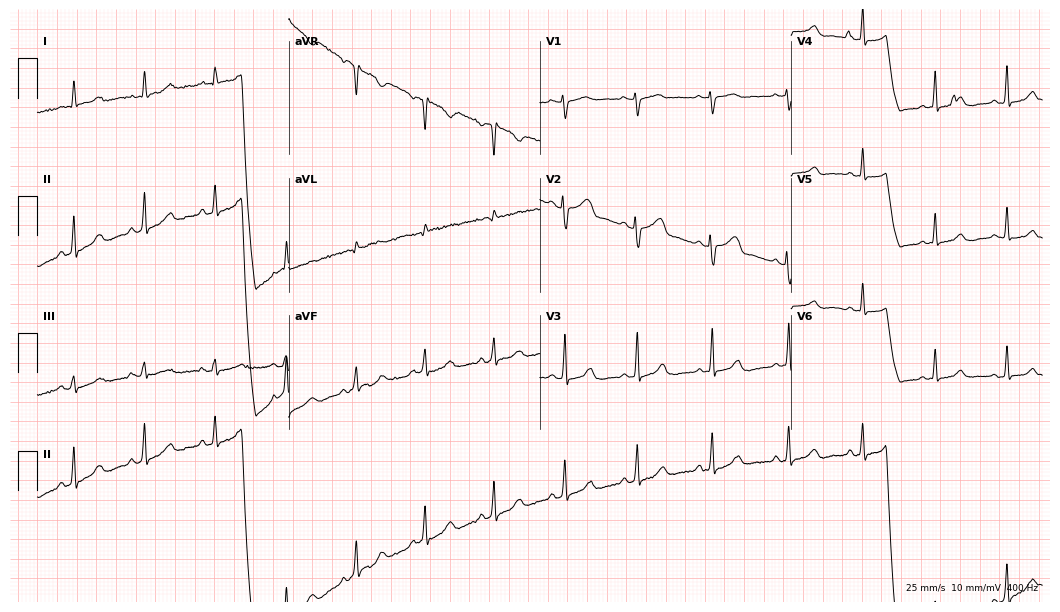
Standard 12-lead ECG recorded from a 46-year-old female patient. None of these six findings is recorded: first-degree AV block, right bundle branch block (RBBB), left bundle branch block (LBBB), sinus bradycardia, atrial fibrillation (AF), sinus tachycardia.